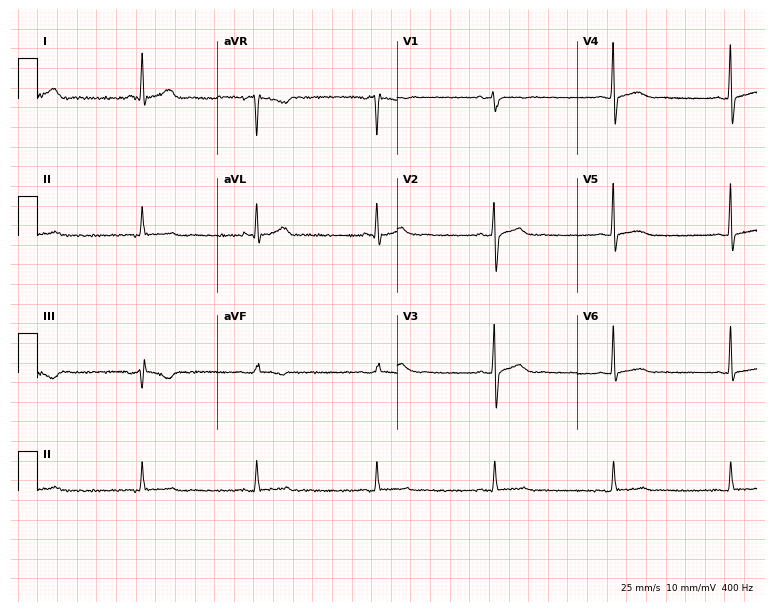
Resting 12-lead electrocardiogram (7.3-second recording at 400 Hz). Patient: a 29-year-old male. The tracing shows sinus bradycardia (a sinus rate of 50 beats per minute or less).